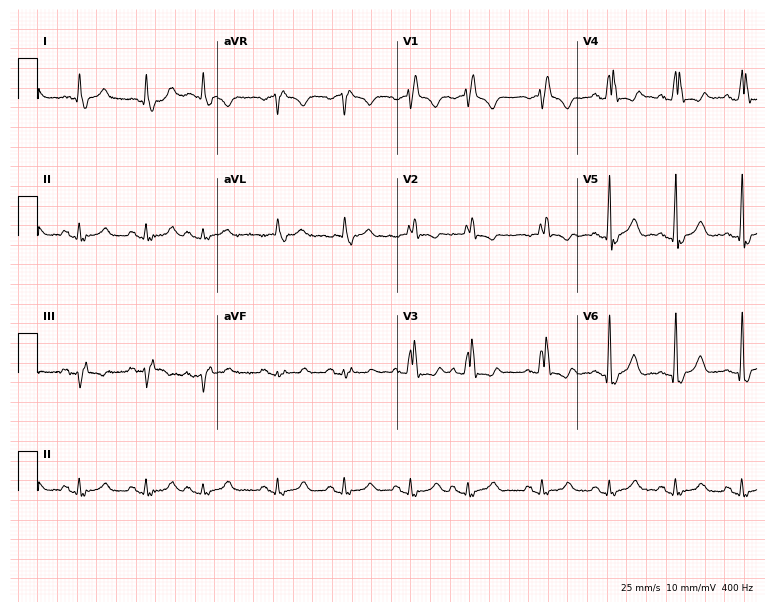
ECG — a male, 83 years old. Findings include right bundle branch block.